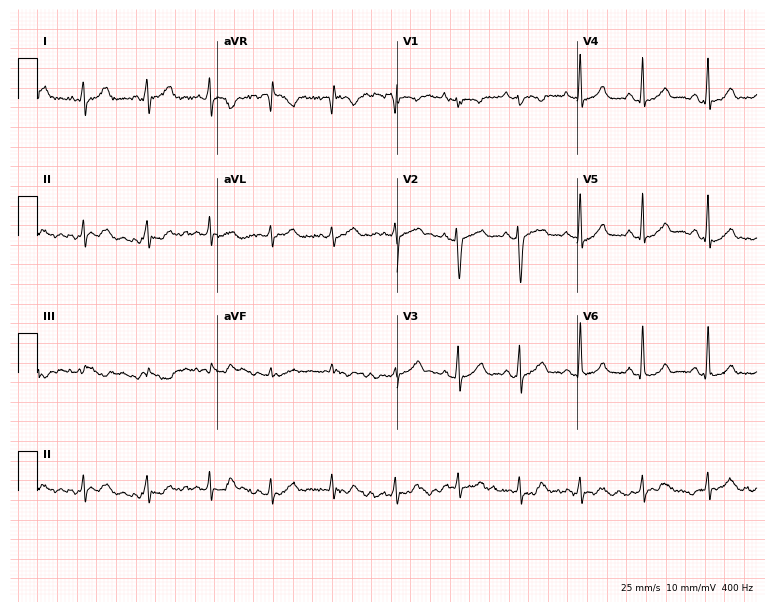
12-lead ECG (7.3-second recording at 400 Hz) from a female patient, 27 years old. Labelled as a normal ECG.